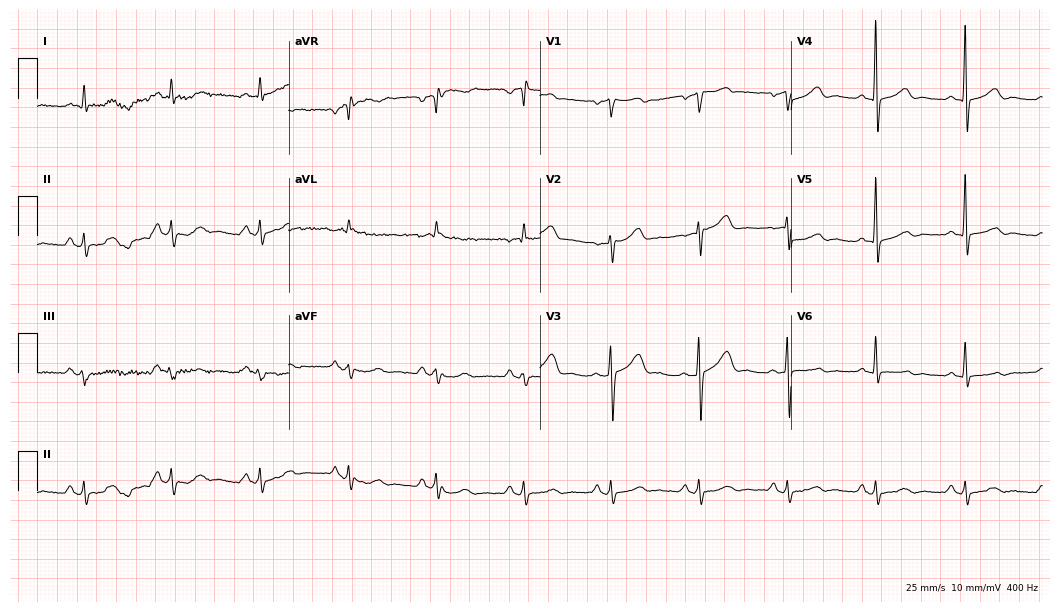
Electrocardiogram, a 70-year-old male. Of the six screened findings (first-degree AV block, right bundle branch block, left bundle branch block, sinus bradycardia, atrial fibrillation, sinus tachycardia), none is recorded.